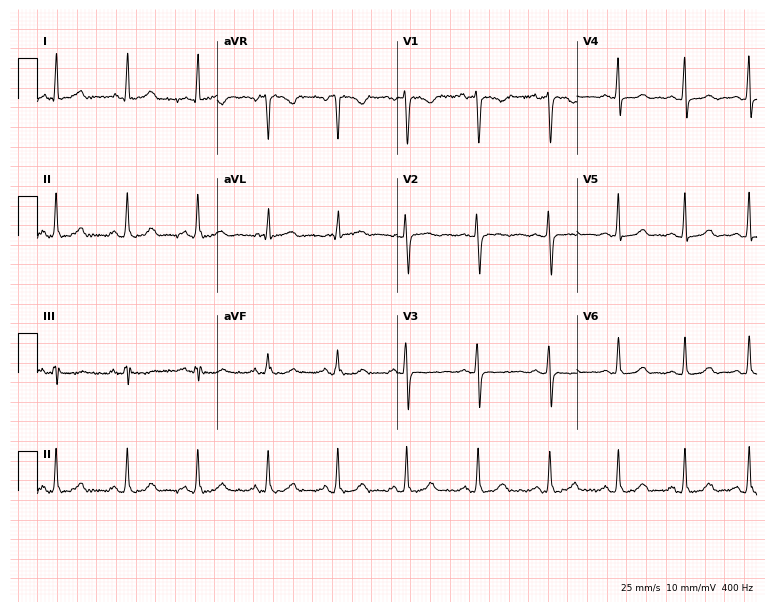
Electrocardiogram, a woman, 22 years old. Overall reading on record: normal ECG.